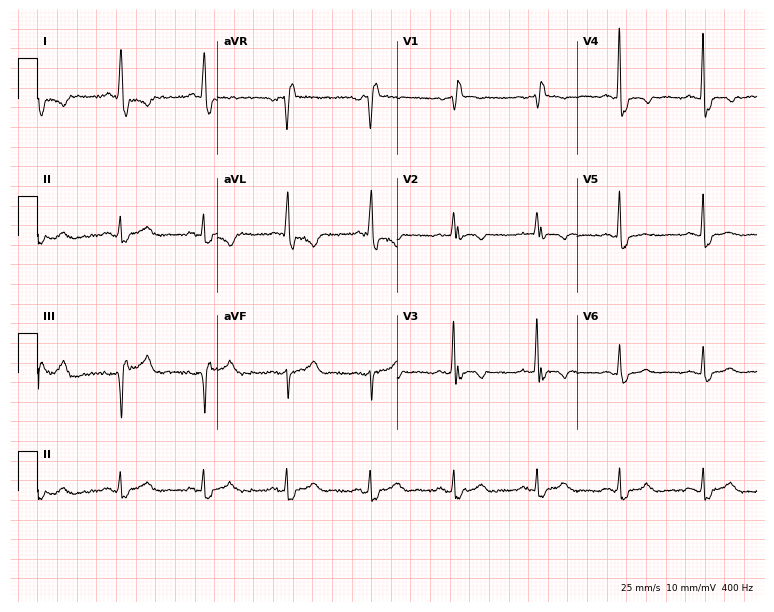
Resting 12-lead electrocardiogram (7.3-second recording at 400 Hz). Patient: a 71-year-old female. The tracing shows right bundle branch block (RBBB).